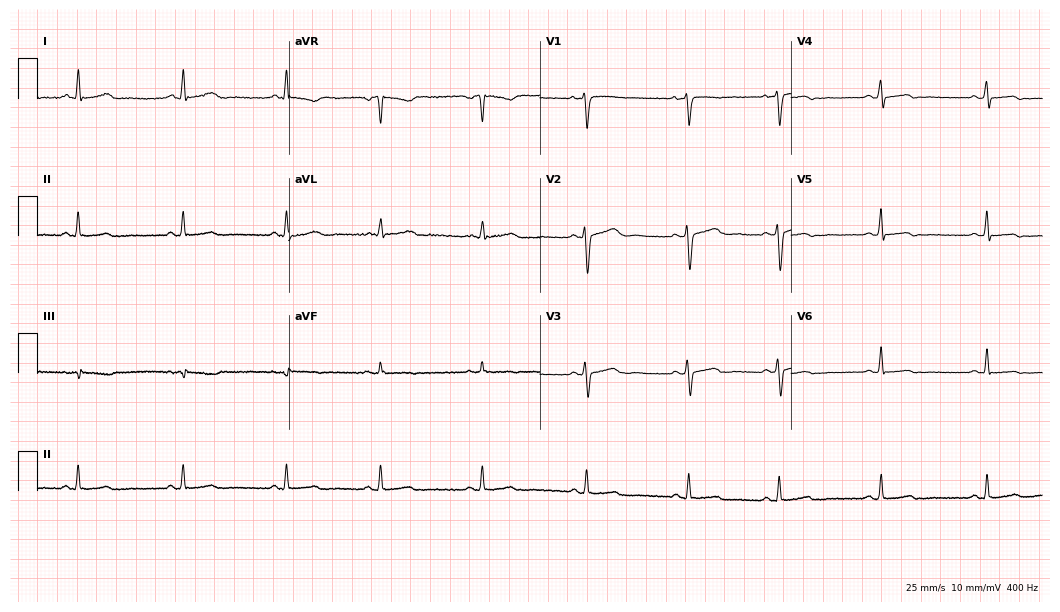
12-lead ECG (10.2-second recording at 400 Hz) from a female, 40 years old. Labelled as a normal ECG.